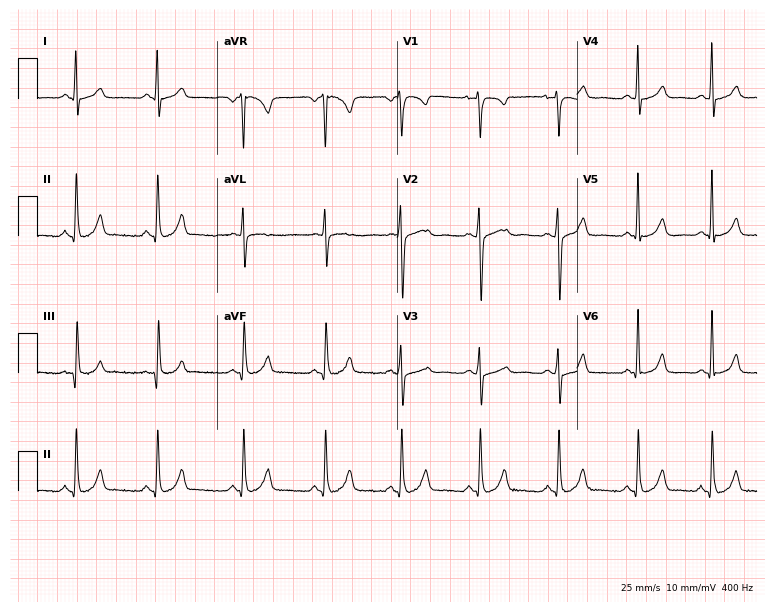
Resting 12-lead electrocardiogram. Patient: a woman, 19 years old. Read as a normal ECG.